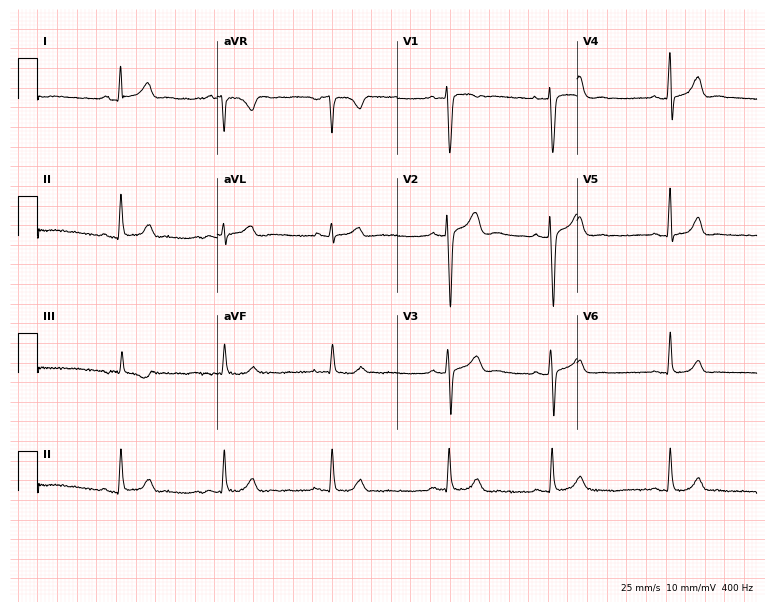
Standard 12-lead ECG recorded from a female, 18 years old (7.3-second recording at 400 Hz). Read as a normal ECG.